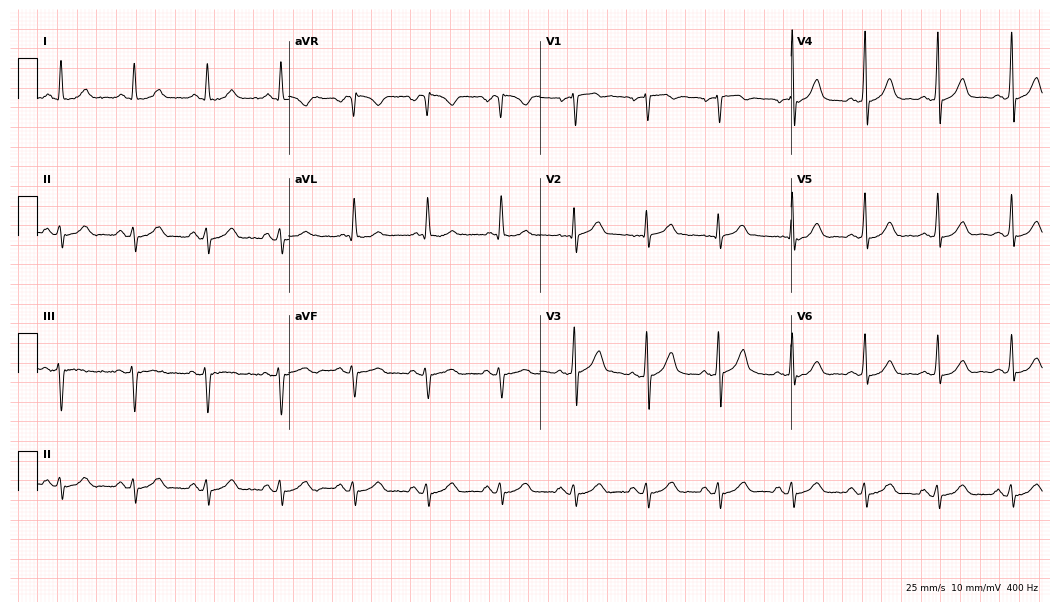
Electrocardiogram (10.2-second recording at 400 Hz), a 60-year-old male. Of the six screened findings (first-degree AV block, right bundle branch block (RBBB), left bundle branch block (LBBB), sinus bradycardia, atrial fibrillation (AF), sinus tachycardia), none is recorded. Other findings, if any, are not listed.